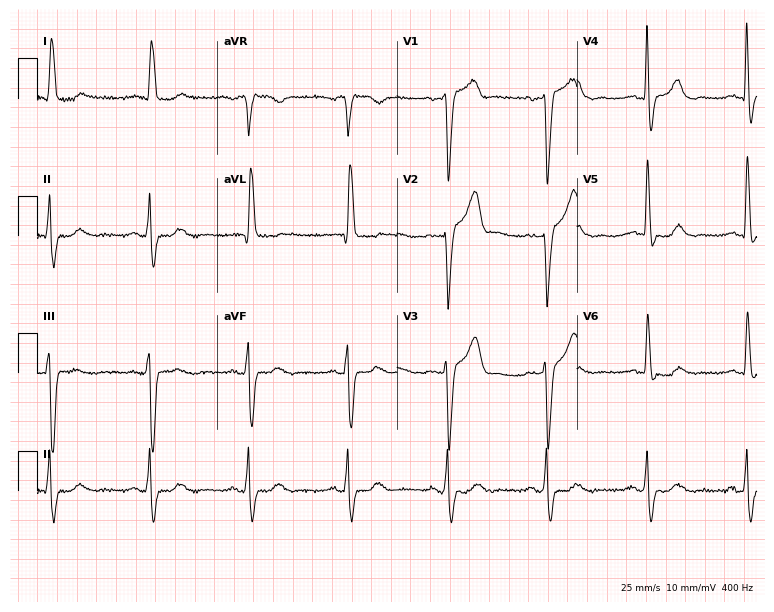
Standard 12-lead ECG recorded from an 80-year-old woman. The tracing shows left bundle branch block.